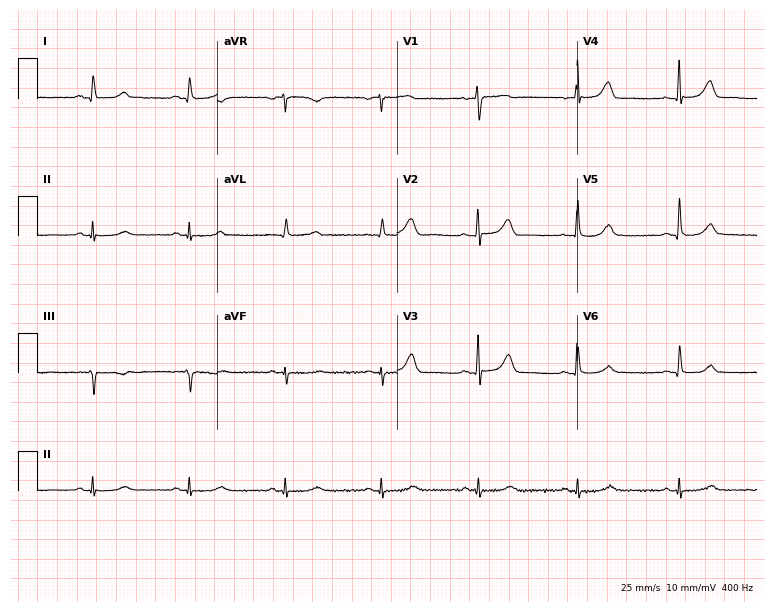
12-lead ECG from a male, 70 years old (7.3-second recording at 400 Hz). Recorded interpretation: within normal limits.